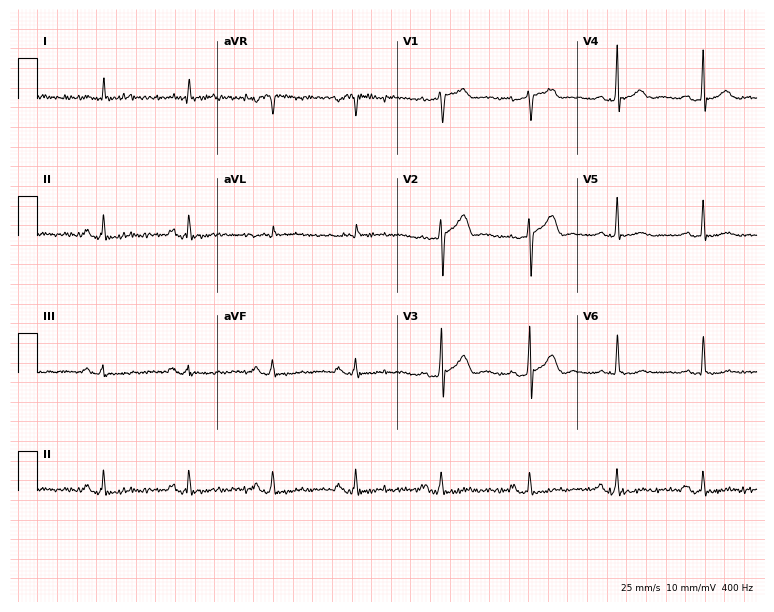
12-lead ECG (7.3-second recording at 400 Hz) from a male, 64 years old. Labelled as a normal ECG.